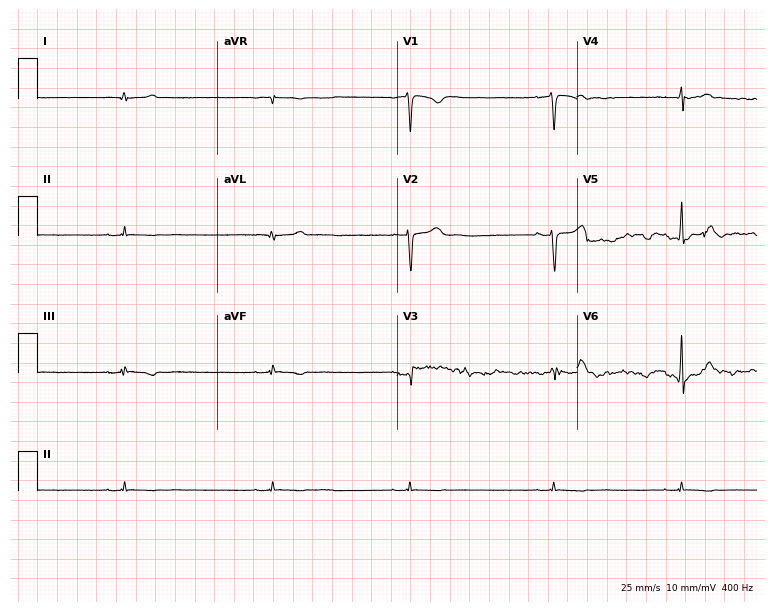
Resting 12-lead electrocardiogram (7.3-second recording at 400 Hz). Patient: a 23-year-old woman. None of these six findings is recorded: first-degree AV block, right bundle branch block (RBBB), left bundle branch block (LBBB), sinus bradycardia, atrial fibrillation (AF), sinus tachycardia. Other findings, if any, are not listed.